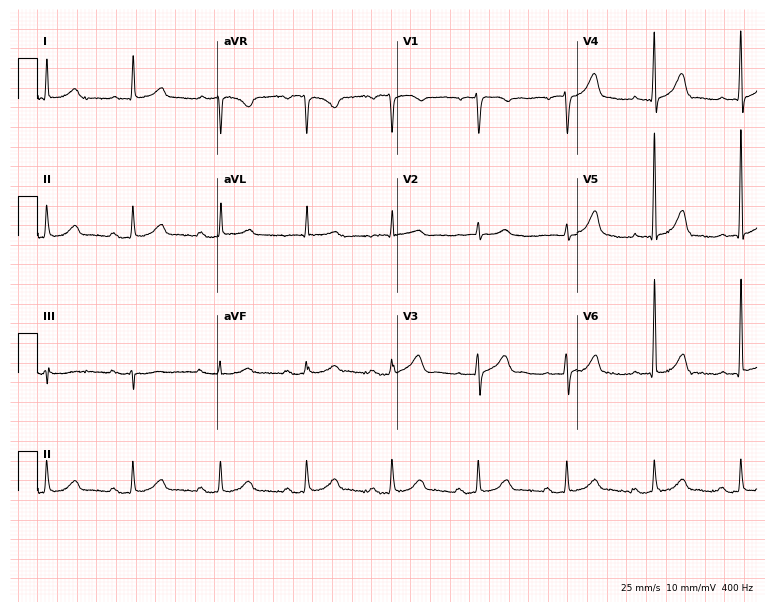
Standard 12-lead ECG recorded from a male patient, 85 years old (7.3-second recording at 400 Hz). None of these six findings is recorded: first-degree AV block, right bundle branch block (RBBB), left bundle branch block (LBBB), sinus bradycardia, atrial fibrillation (AF), sinus tachycardia.